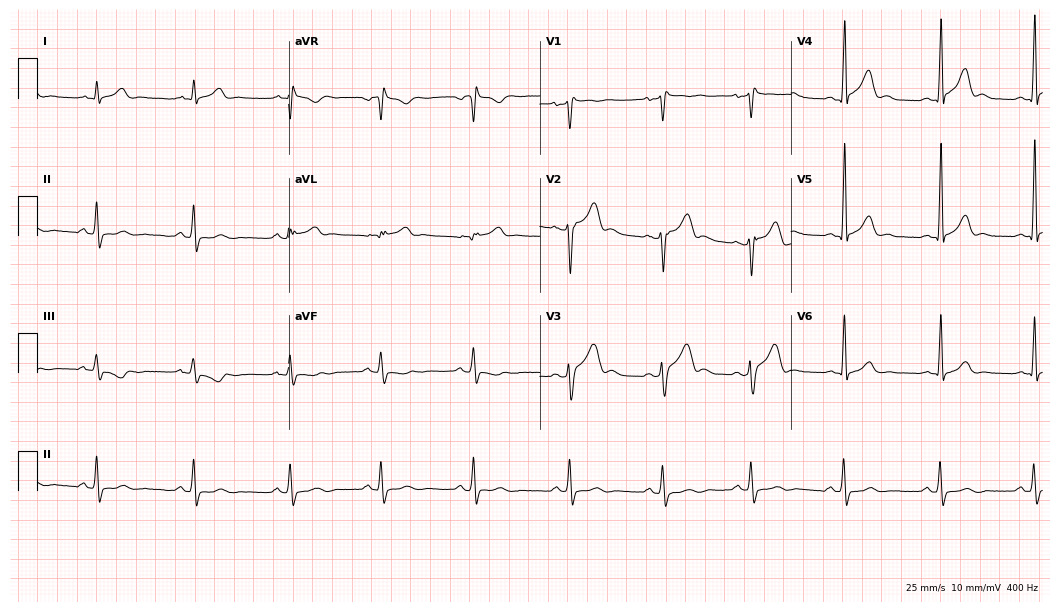
Electrocardiogram (10.2-second recording at 400 Hz), a man, 26 years old. Of the six screened findings (first-degree AV block, right bundle branch block, left bundle branch block, sinus bradycardia, atrial fibrillation, sinus tachycardia), none is recorded.